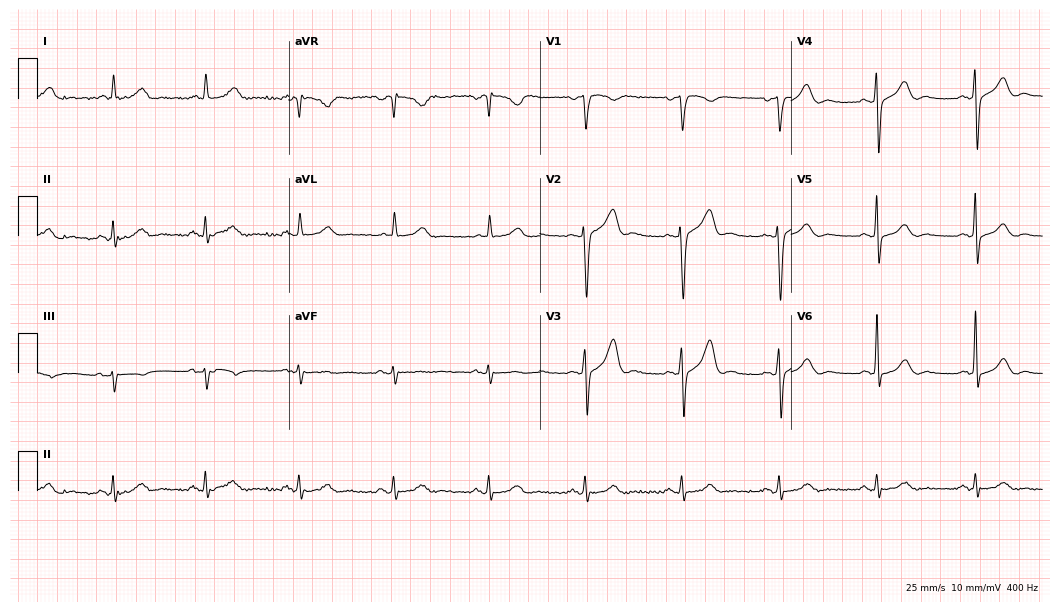
Electrocardiogram, a 75-year-old male patient. Of the six screened findings (first-degree AV block, right bundle branch block (RBBB), left bundle branch block (LBBB), sinus bradycardia, atrial fibrillation (AF), sinus tachycardia), none is recorded. Other findings, if any, are not listed.